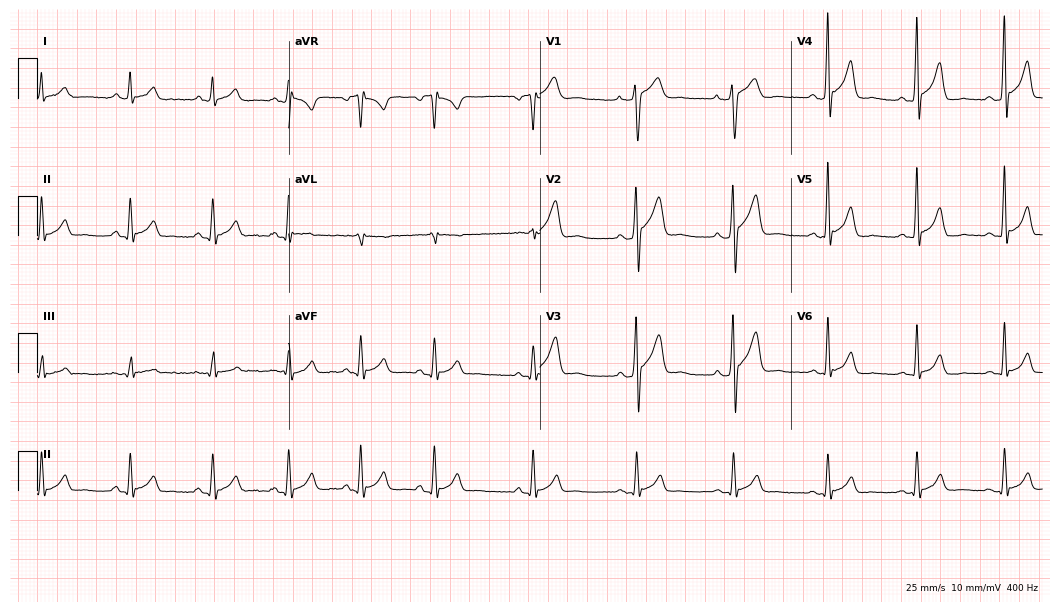
Electrocardiogram, a man, 29 years old. Overall reading on record: normal ECG.